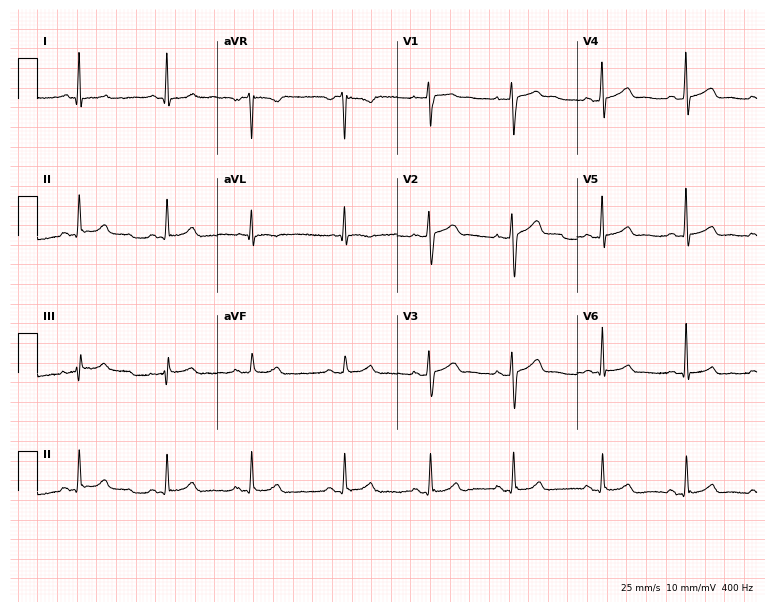
Resting 12-lead electrocardiogram (7.3-second recording at 400 Hz). Patient: a woman, 35 years old. Read as a normal ECG.